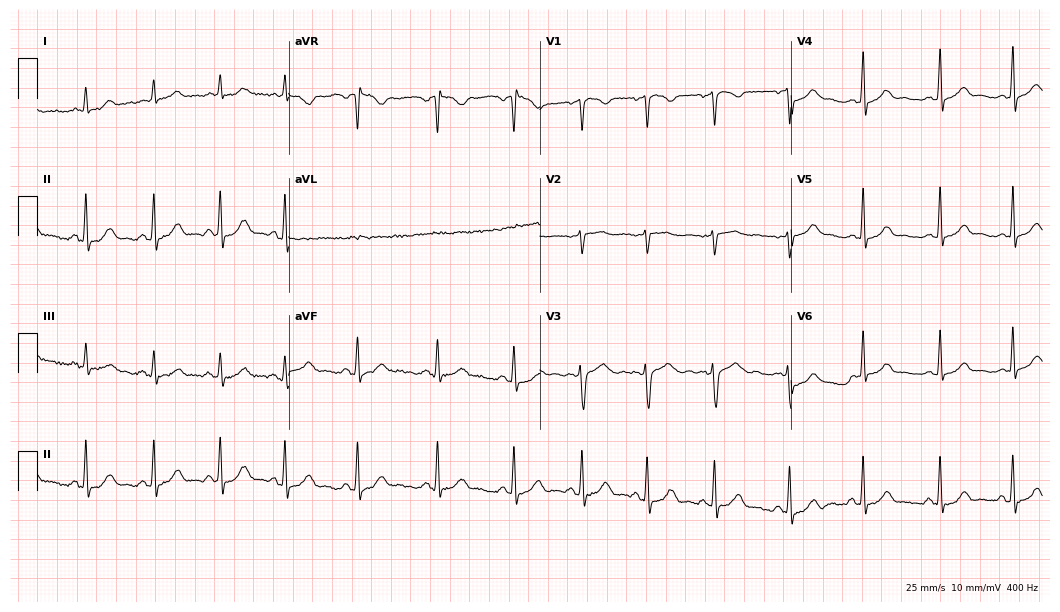
12-lead ECG from a 35-year-old female. Labelled as a normal ECG.